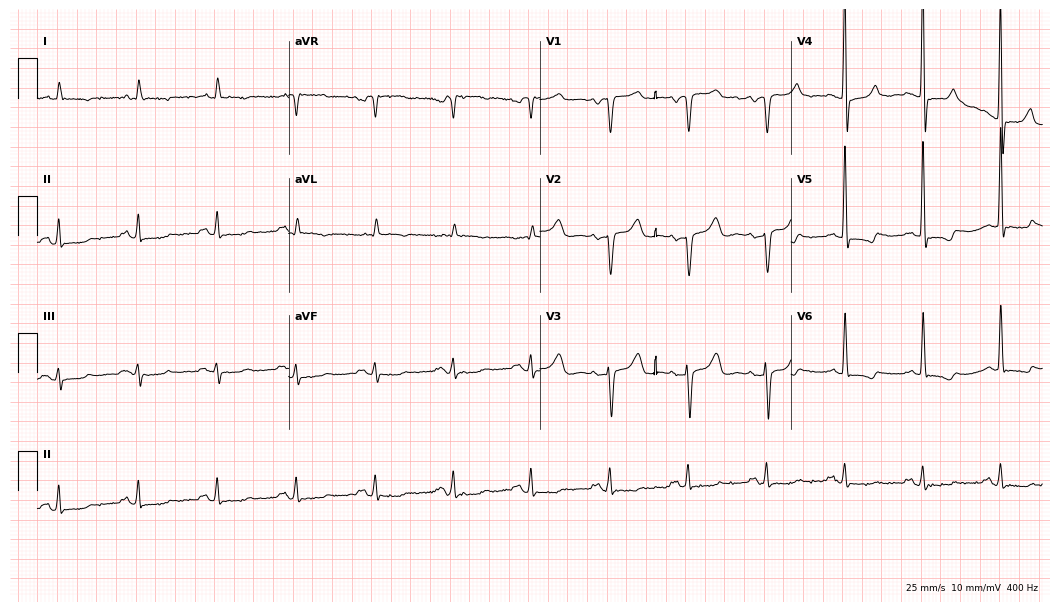
Resting 12-lead electrocardiogram. Patient: a male, 70 years old. None of these six findings is recorded: first-degree AV block, right bundle branch block, left bundle branch block, sinus bradycardia, atrial fibrillation, sinus tachycardia. Other findings, if any, are not listed.